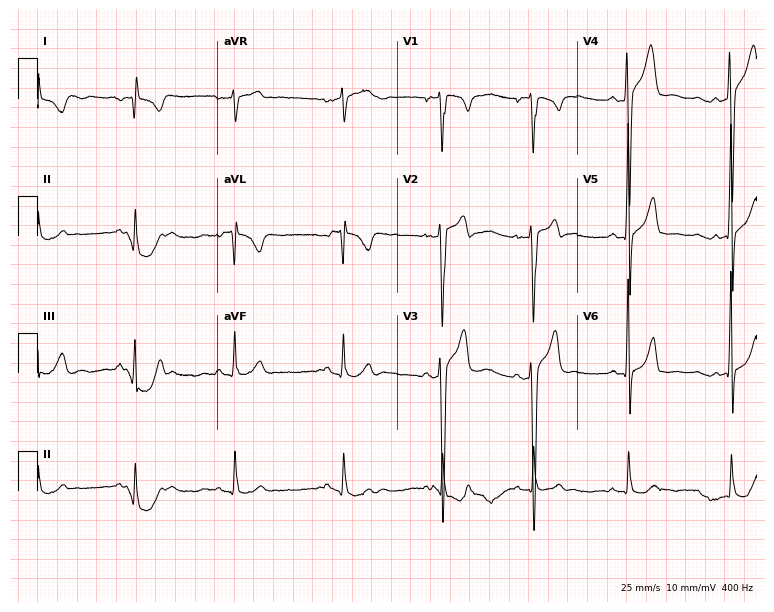
12-lead ECG from a male, 20 years old. Screened for six findings — first-degree AV block, right bundle branch block, left bundle branch block, sinus bradycardia, atrial fibrillation, sinus tachycardia — none is recorded. Findings outside these six are not listed.